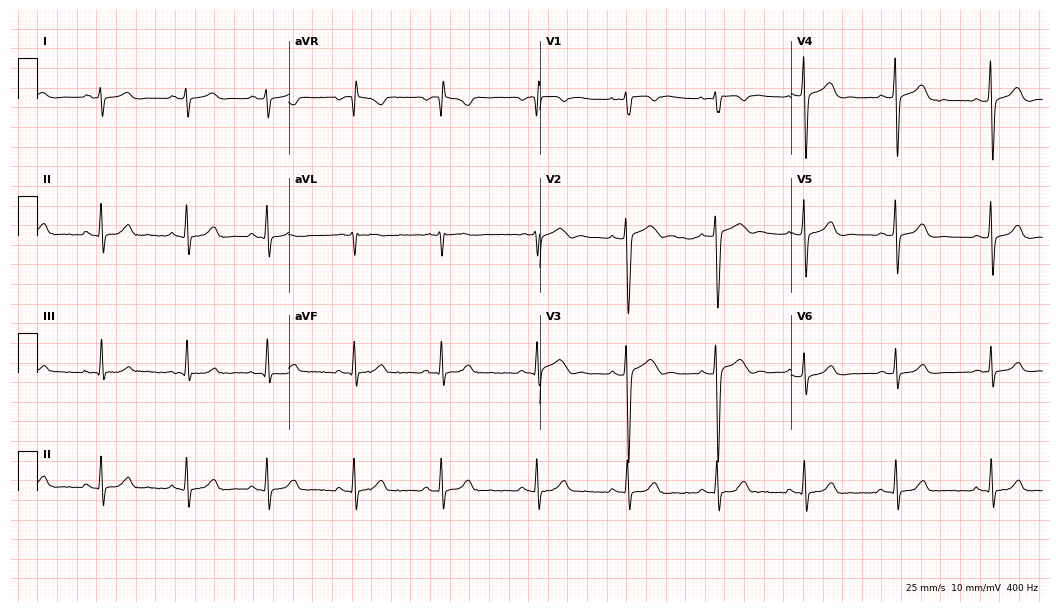
ECG (10.2-second recording at 400 Hz) — a man, 22 years old. Labelled as a normal ECG.